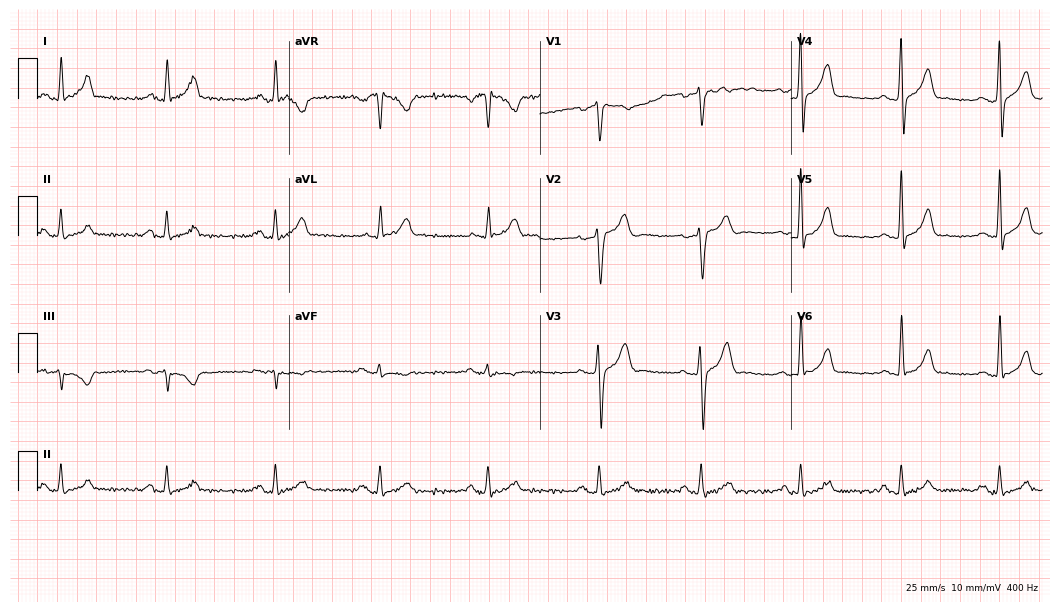
ECG — a 45-year-old man. Screened for six findings — first-degree AV block, right bundle branch block, left bundle branch block, sinus bradycardia, atrial fibrillation, sinus tachycardia — none is recorded.